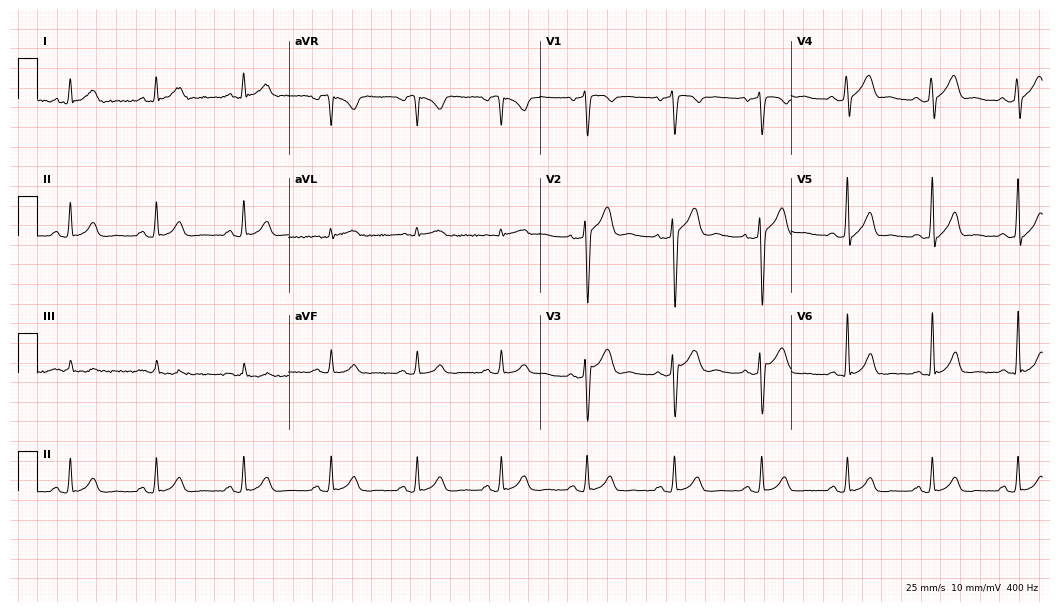
Standard 12-lead ECG recorded from a male, 40 years old (10.2-second recording at 400 Hz). None of these six findings is recorded: first-degree AV block, right bundle branch block, left bundle branch block, sinus bradycardia, atrial fibrillation, sinus tachycardia.